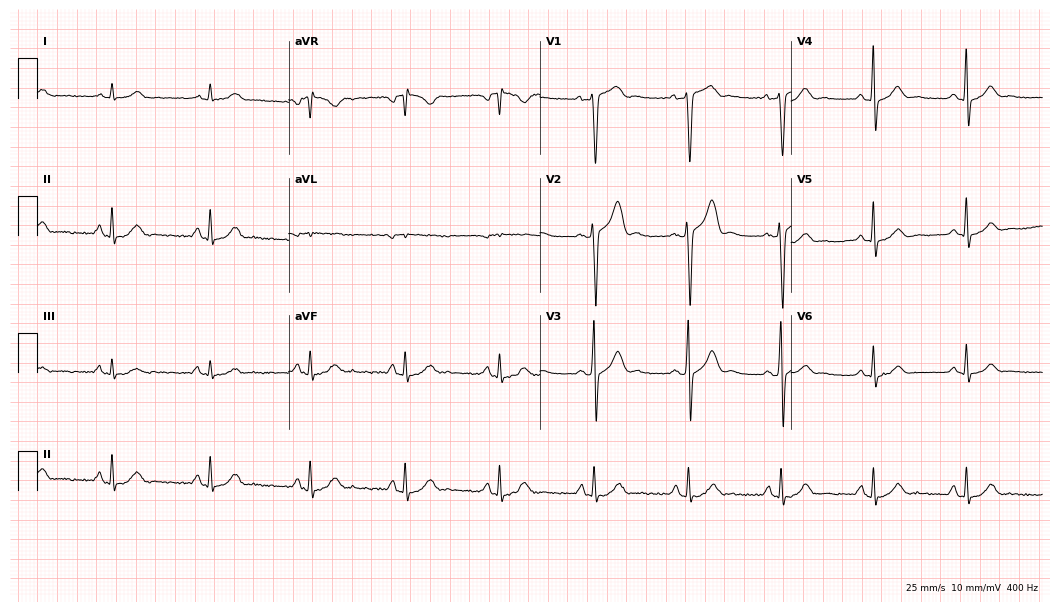
Electrocardiogram (10.2-second recording at 400 Hz), a man, 47 years old. Of the six screened findings (first-degree AV block, right bundle branch block, left bundle branch block, sinus bradycardia, atrial fibrillation, sinus tachycardia), none is recorded. Only these six findings were labelled.